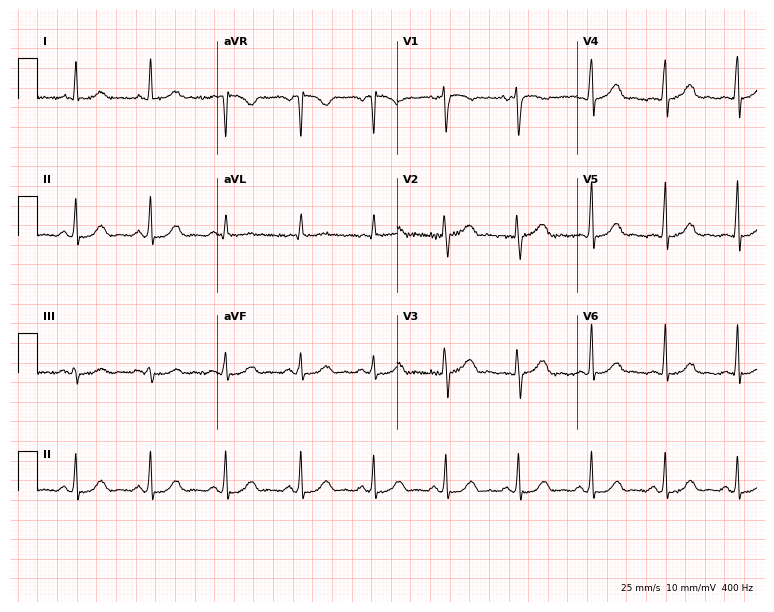
12-lead ECG from a woman, 46 years old. Screened for six findings — first-degree AV block, right bundle branch block, left bundle branch block, sinus bradycardia, atrial fibrillation, sinus tachycardia — none is recorded.